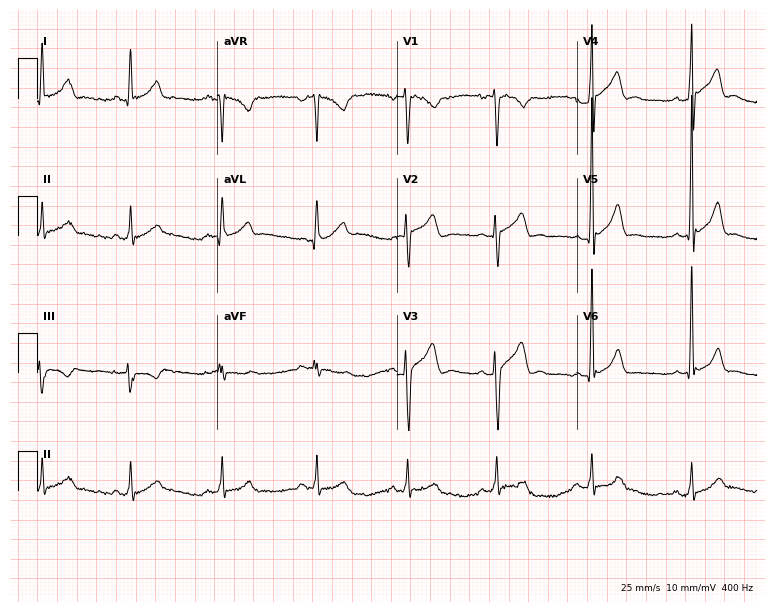
12-lead ECG from a 25-year-old male (7.3-second recording at 400 Hz). Recorded interpretation: within normal limits.